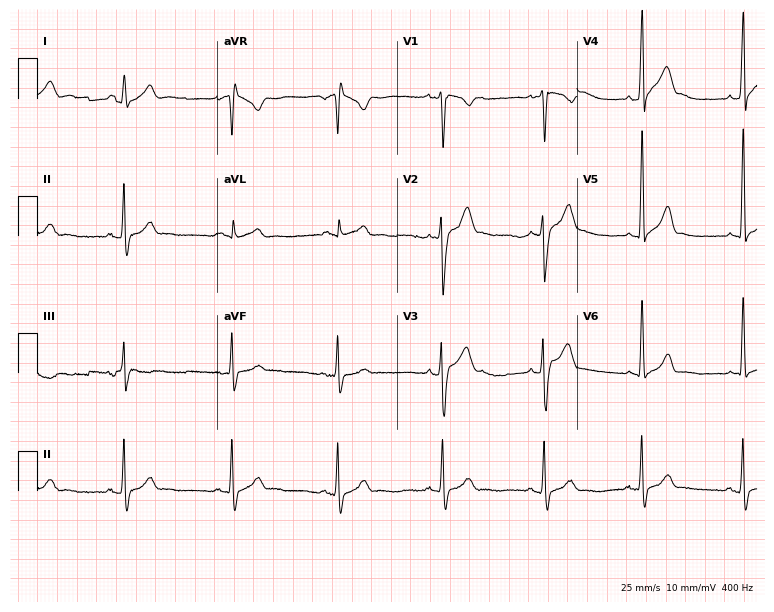
Standard 12-lead ECG recorded from a 22-year-old male. Read as a normal ECG.